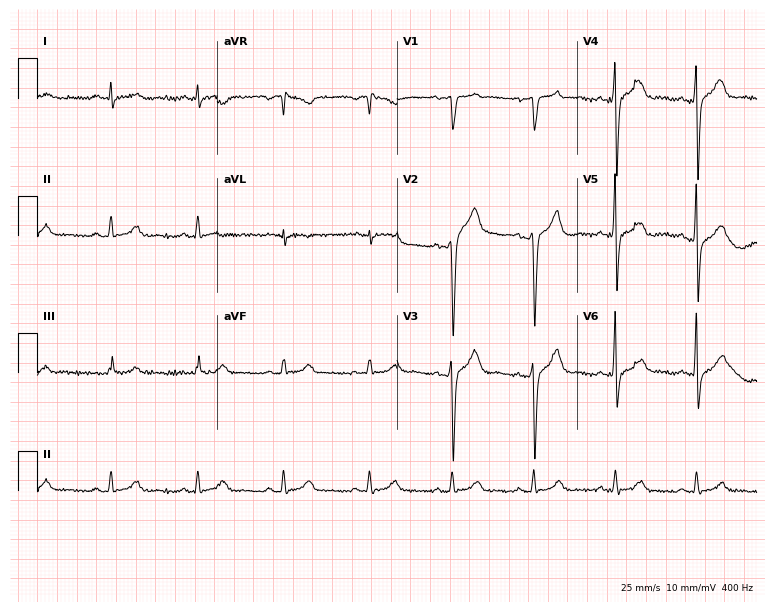
ECG (7.3-second recording at 400 Hz) — a 51-year-old man. Labelled as a normal ECG.